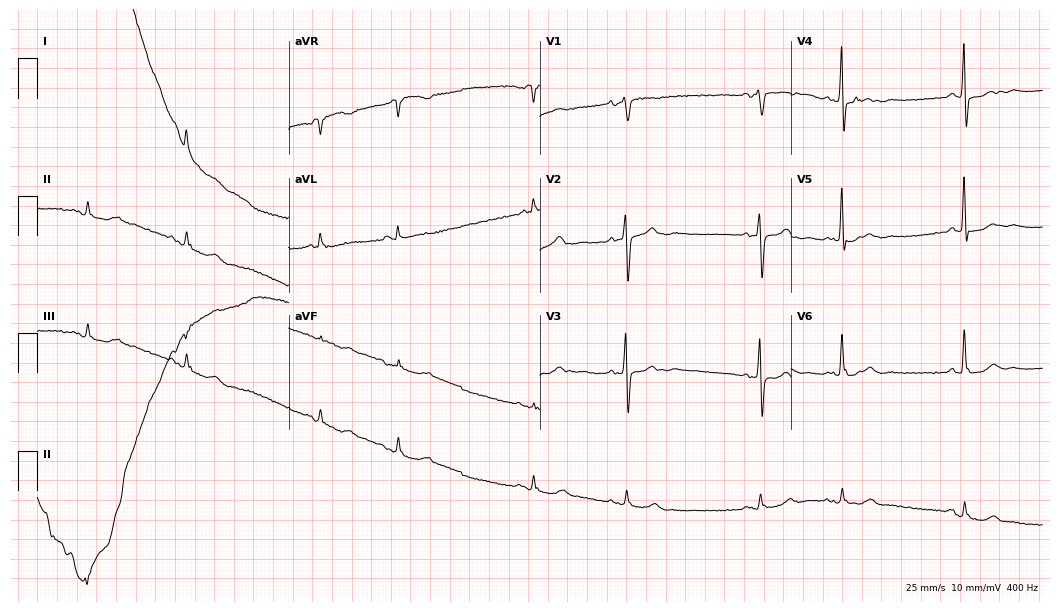
Standard 12-lead ECG recorded from an 84-year-old male patient (10.2-second recording at 400 Hz). None of these six findings is recorded: first-degree AV block, right bundle branch block, left bundle branch block, sinus bradycardia, atrial fibrillation, sinus tachycardia.